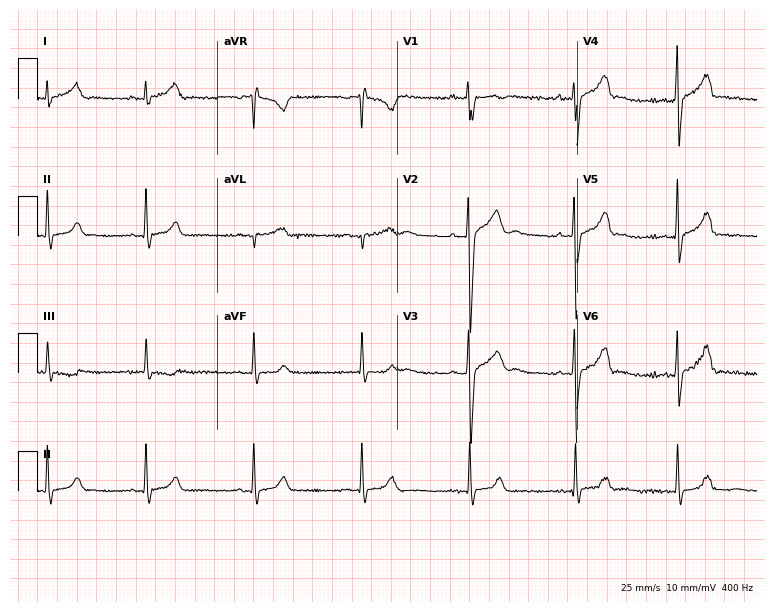
12-lead ECG from a male, 20 years old. Recorded interpretation: within normal limits.